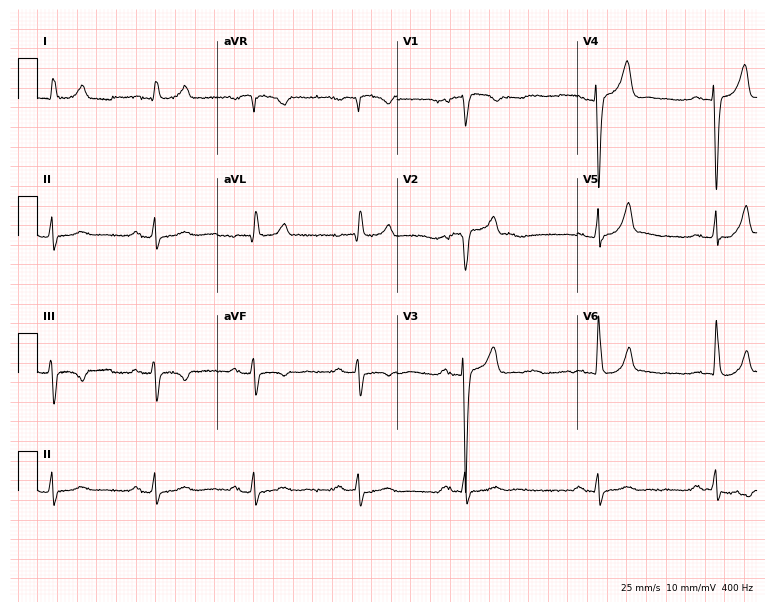
12-lead ECG (7.3-second recording at 400 Hz) from a male, 63 years old. Findings include first-degree AV block.